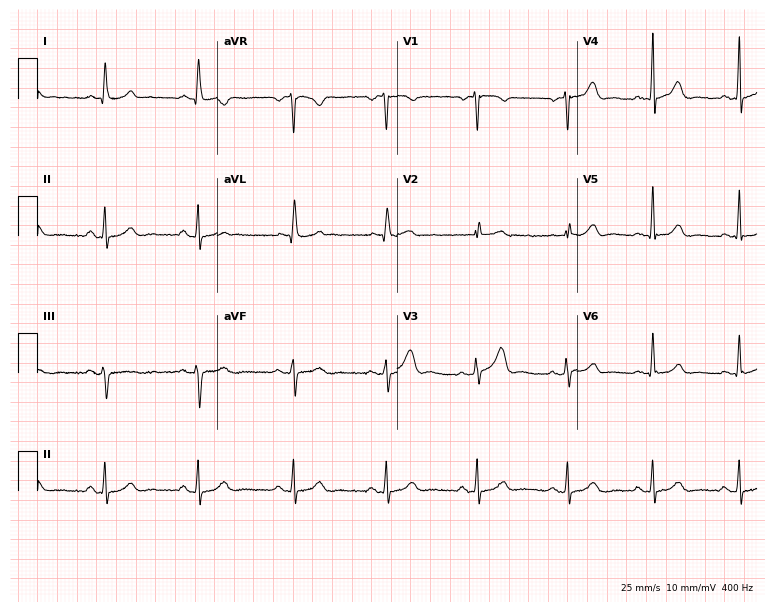
12-lead ECG from a female patient, 42 years old (7.3-second recording at 400 Hz). Recorded interpretation: within normal limits.